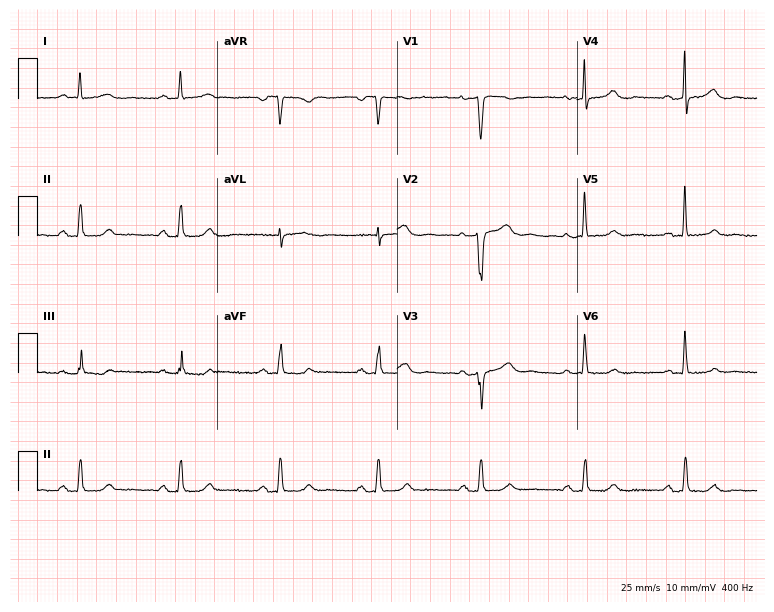
Electrocardiogram (7.3-second recording at 400 Hz), a 68-year-old female. Of the six screened findings (first-degree AV block, right bundle branch block, left bundle branch block, sinus bradycardia, atrial fibrillation, sinus tachycardia), none is recorded.